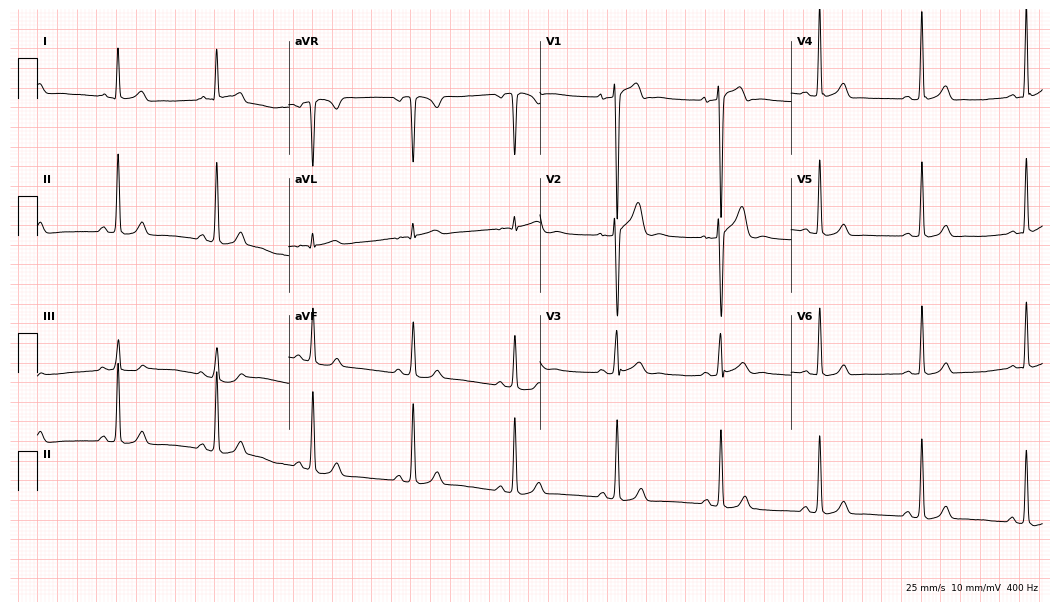
12-lead ECG from a 23-year-old man. Recorded interpretation: within normal limits.